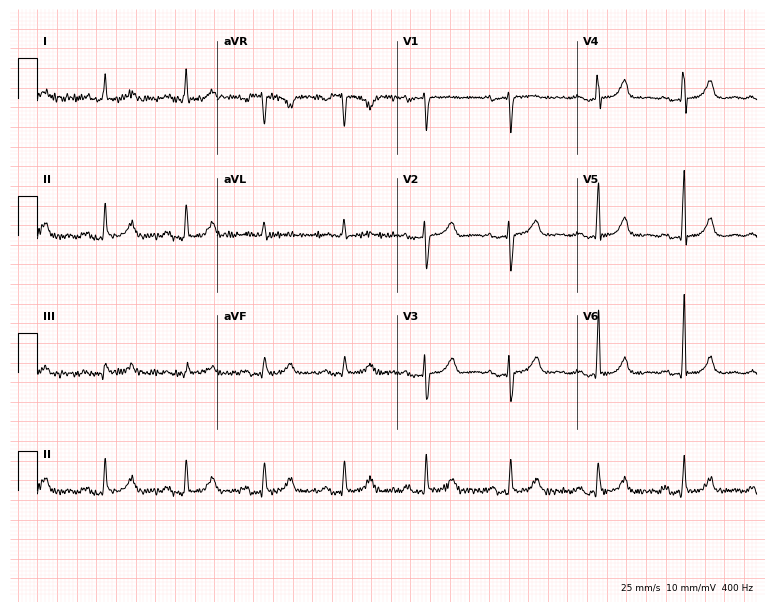
ECG — a 64-year-old female patient. Labelled as a normal ECG.